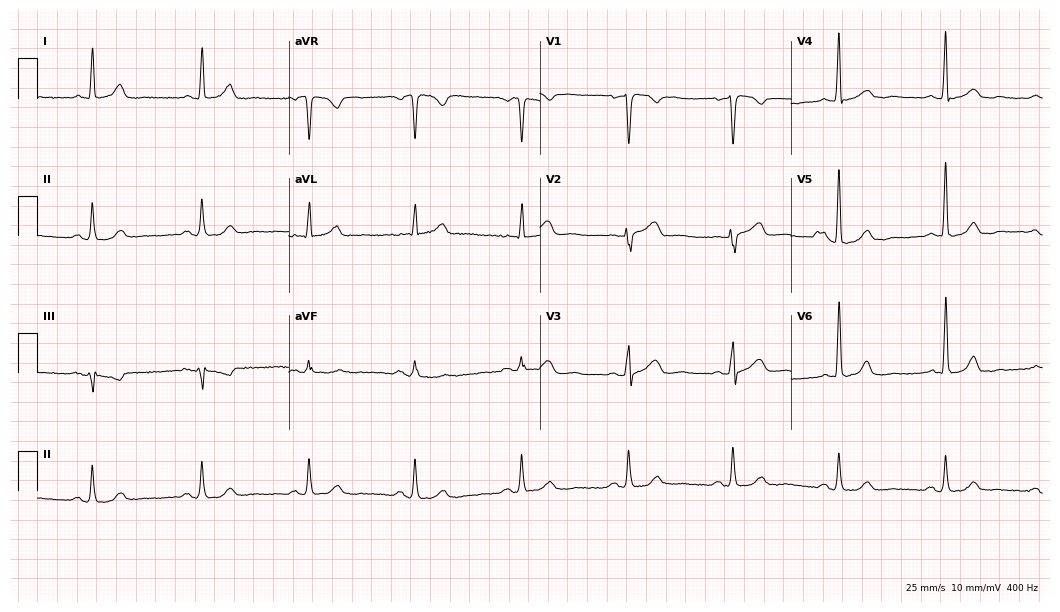
Resting 12-lead electrocardiogram. Patient: a 52-year-old female. None of these six findings is recorded: first-degree AV block, right bundle branch block (RBBB), left bundle branch block (LBBB), sinus bradycardia, atrial fibrillation (AF), sinus tachycardia. Only these six findings were labelled.